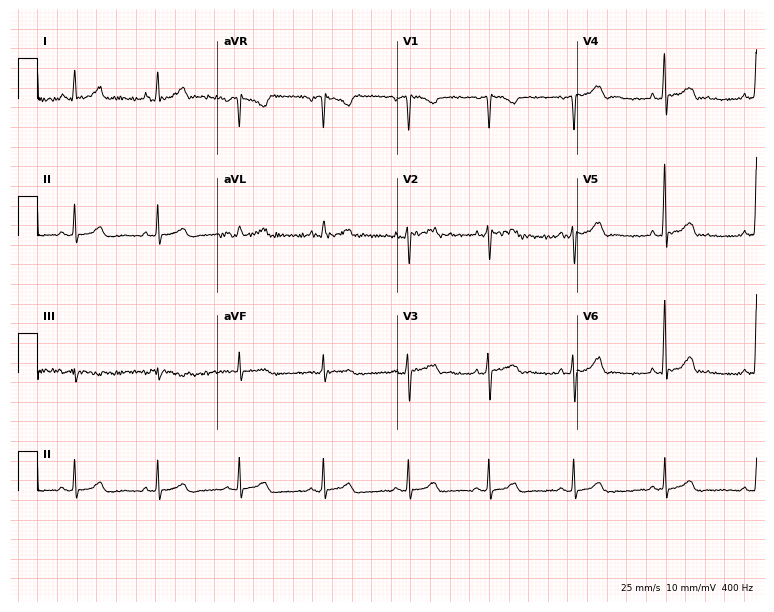
12-lead ECG from a female patient, 46 years old. Screened for six findings — first-degree AV block, right bundle branch block, left bundle branch block, sinus bradycardia, atrial fibrillation, sinus tachycardia — none is recorded. Other findings, if any, are not listed.